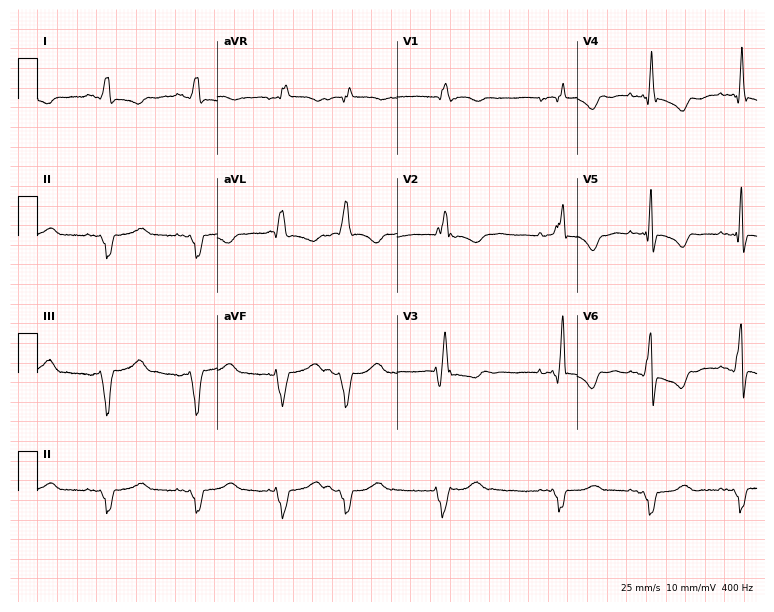
12-lead ECG from a female, 59 years old. Shows right bundle branch block.